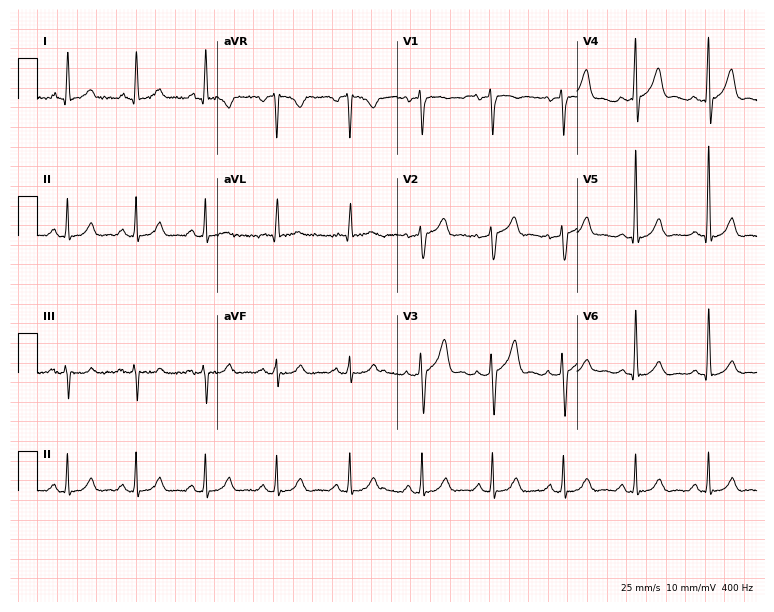
12-lead ECG from a male, 75 years old. Recorded interpretation: within normal limits.